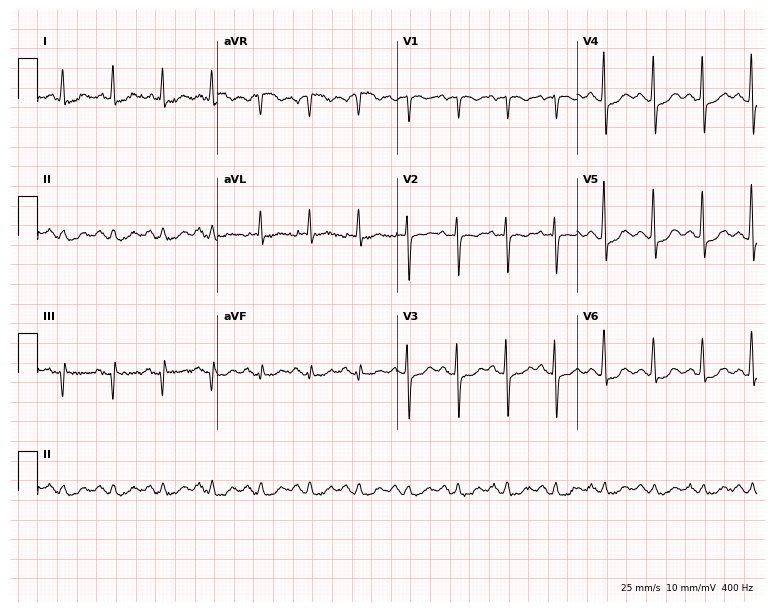
ECG (7.3-second recording at 400 Hz) — a 73-year-old female. Findings include sinus tachycardia (a sinus rate of 100 beats per minute or more).